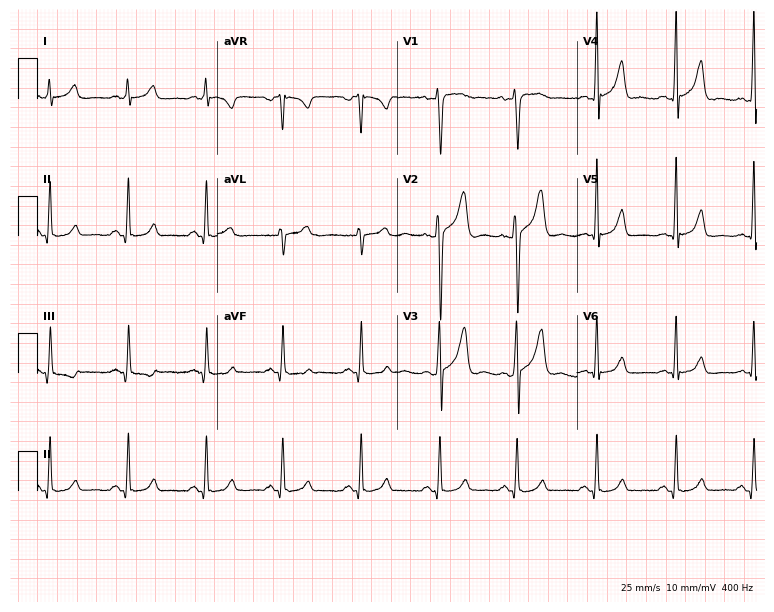
12-lead ECG from a male, 31 years old. Recorded interpretation: within normal limits.